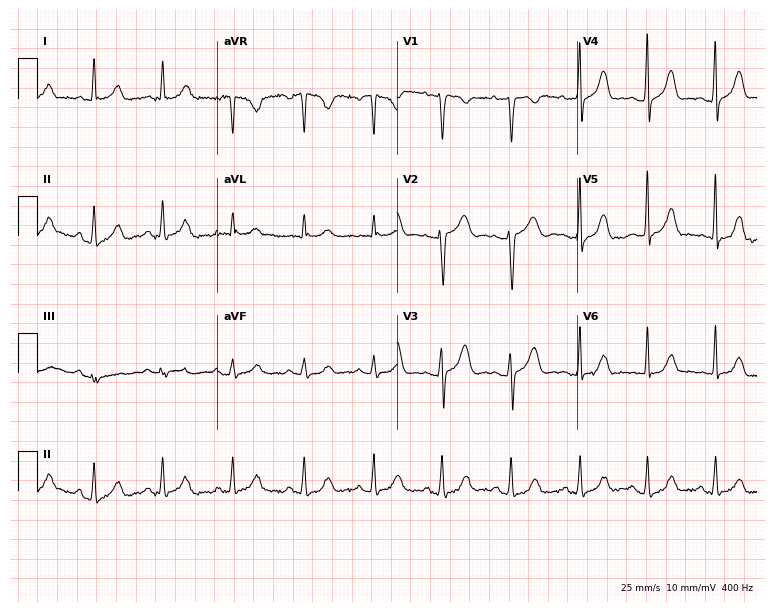
ECG (7.3-second recording at 400 Hz) — a female, 32 years old. Labelled as a normal ECG.